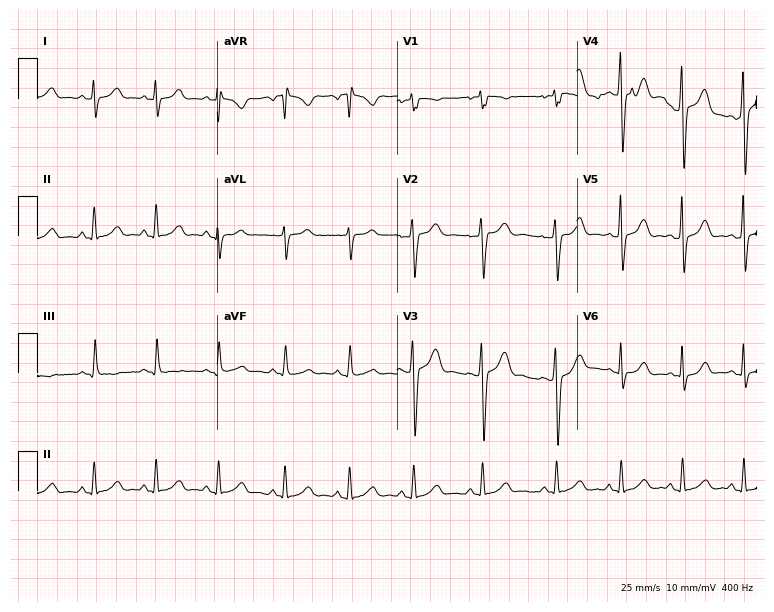
12-lead ECG from a female patient, 18 years old. Screened for six findings — first-degree AV block, right bundle branch block, left bundle branch block, sinus bradycardia, atrial fibrillation, sinus tachycardia — none is recorded.